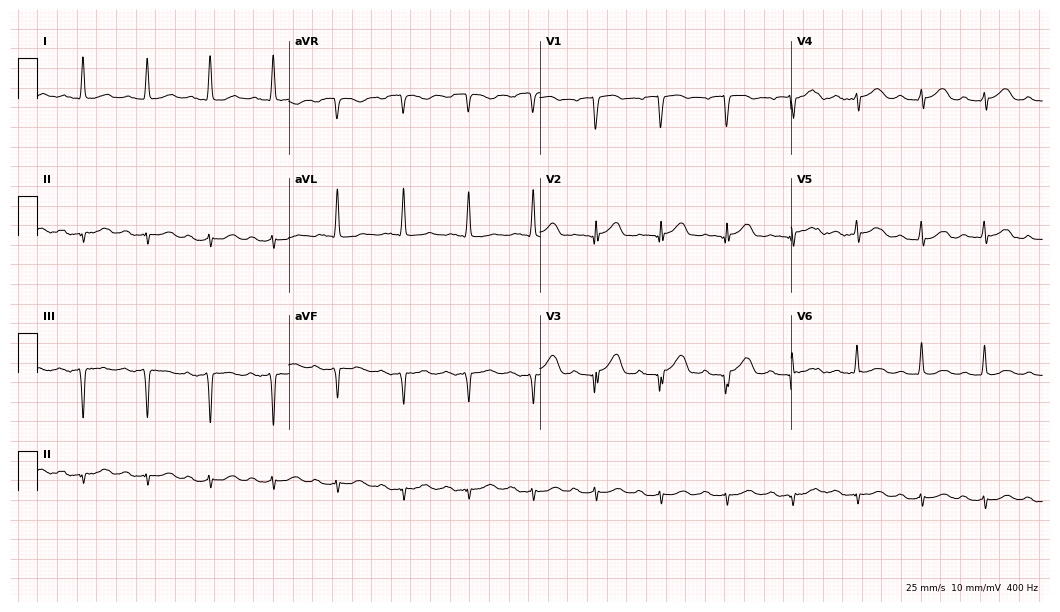
ECG (10.2-second recording at 400 Hz) — a male, 78 years old. Screened for six findings — first-degree AV block, right bundle branch block (RBBB), left bundle branch block (LBBB), sinus bradycardia, atrial fibrillation (AF), sinus tachycardia — none is recorded. Other findings, if any, are not listed.